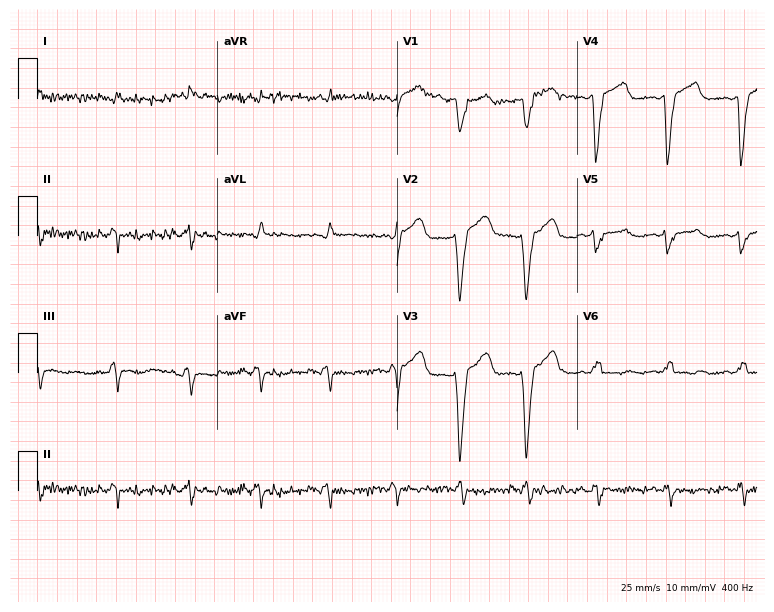
Standard 12-lead ECG recorded from a 64-year-old female patient. None of these six findings is recorded: first-degree AV block, right bundle branch block, left bundle branch block, sinus bradycardia, atrial fibrillation, sinus tachycardia. Only these six findings were labelled.